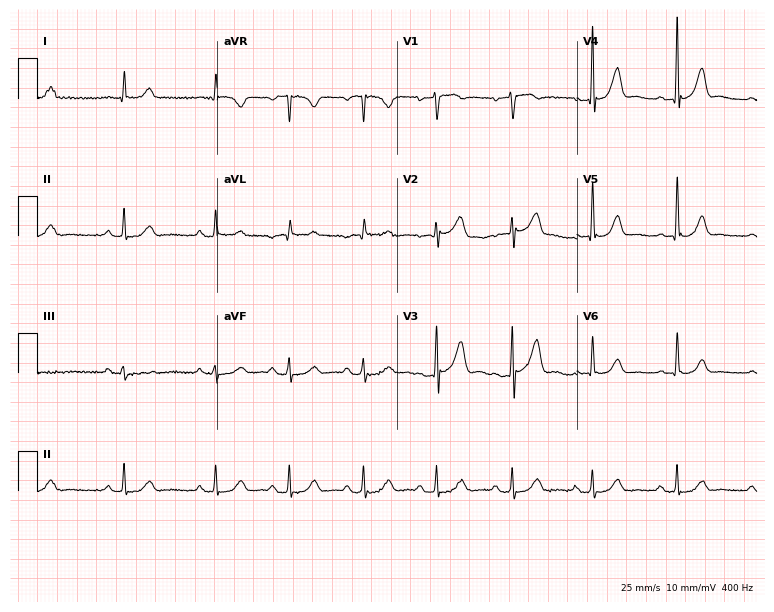
12-lead ECG from a male patient, 69 years old (7.3-second recording at 400 Hz). Recorded interpretation: within normal limits.